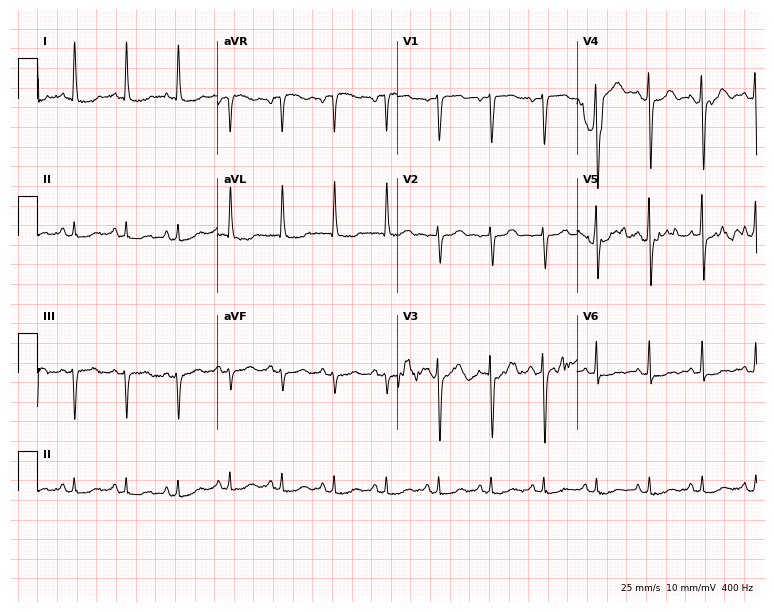
12-lead ECG from a 60-year-old female patient. Shows sinus tachycardia (a sinus rate of 100 beats per minute or more).